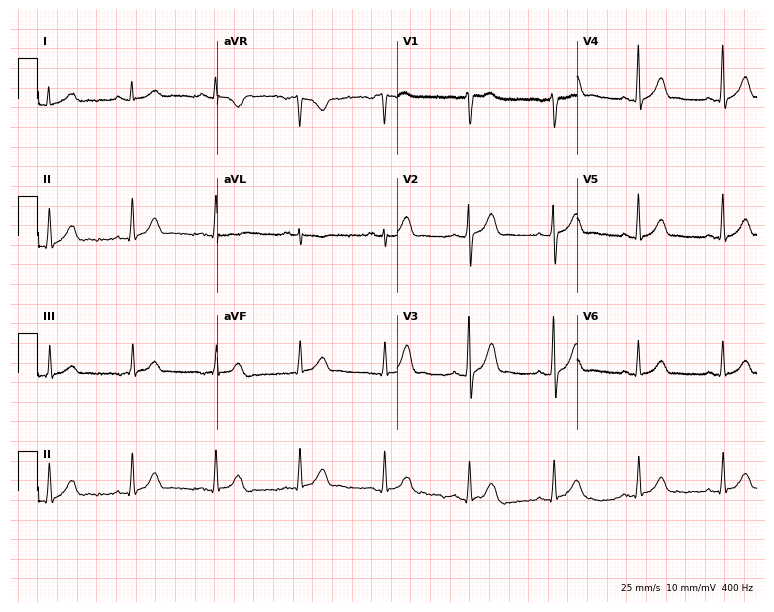
Electrocardiogram, a 47-year-old man. Overall reading on record: normal ECG.